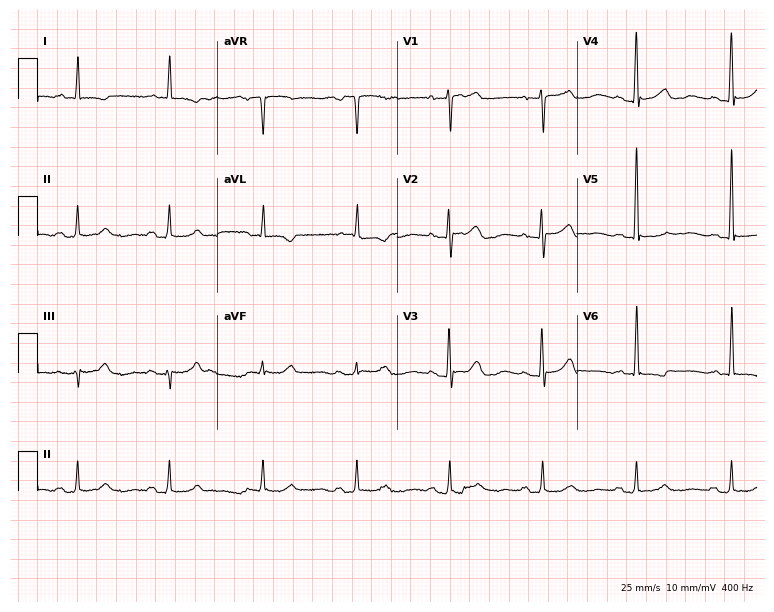
Standard 12-lead ECG recorded from a female, 71 years old. None of these six findings is recorded: first-degree AV block, right bundle branch block, left bundle branch block, sinus bradycardia, atrial fibrillation, sinus tachycardia. Other findings, if any, are not listed.